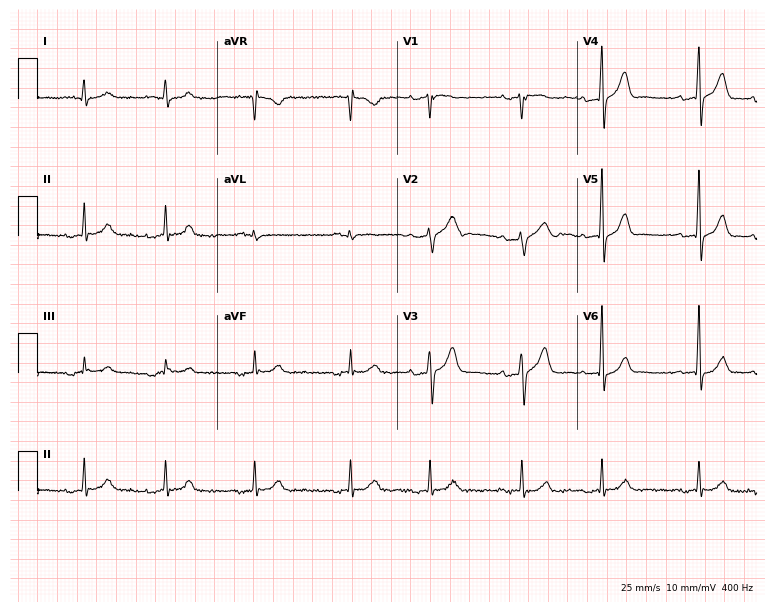
12-lead ECG from a male patient, 74 years old (7.3-second recording at 400 Hz). No first-degree AV block, right bundle branch block, left bundle branch block, sinus bradycardia, atrial fibrillation or sinus tachycardia recorded for this tracing.